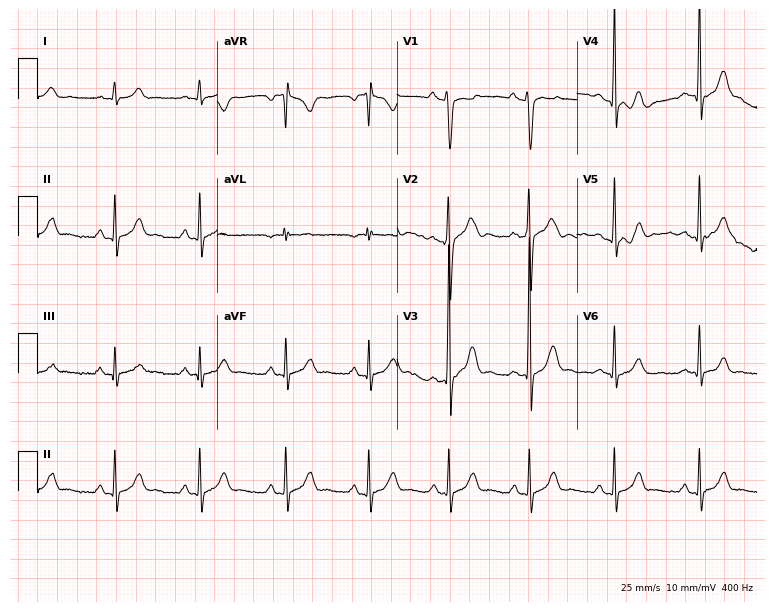
ECG — a 20-year-old man. Screened for six findings — first-degree AV block, right bundle branch block (RBBB), left bundle branch block (LBBB), sinus bradycardia, atrial fibrillation (AF), sinus tachycardia — none is recorded.